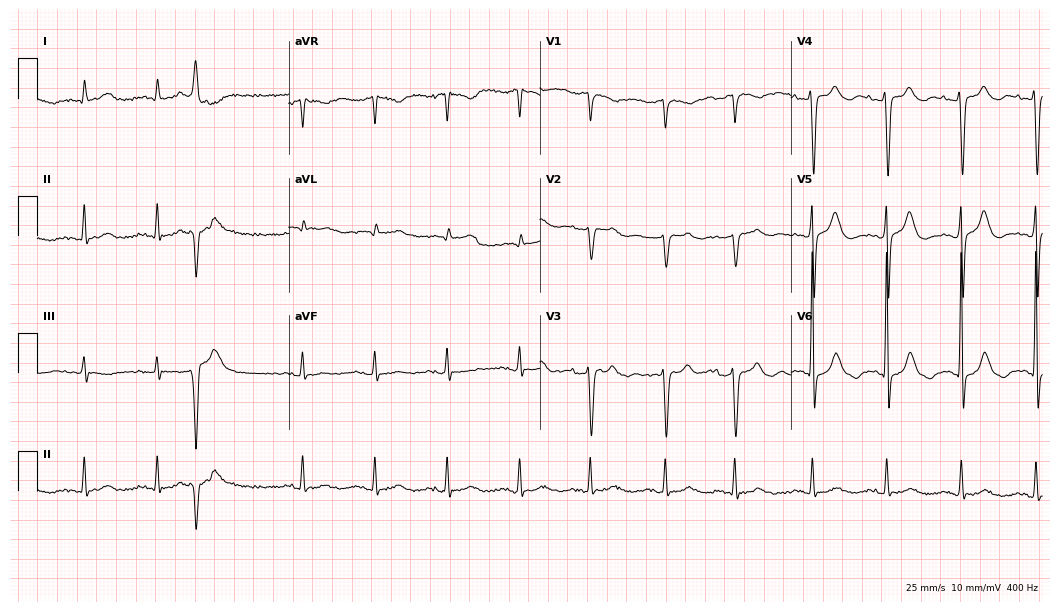
12-lead ECG (10.2-second recording at 400 Hz) from a female, 82 years old. Screened for six findings — first-degree AV block, right bundle branch block, left bundle branch block, sinus bradycardia, atrial fibrillation, sinus tachycardia — none is recorded.